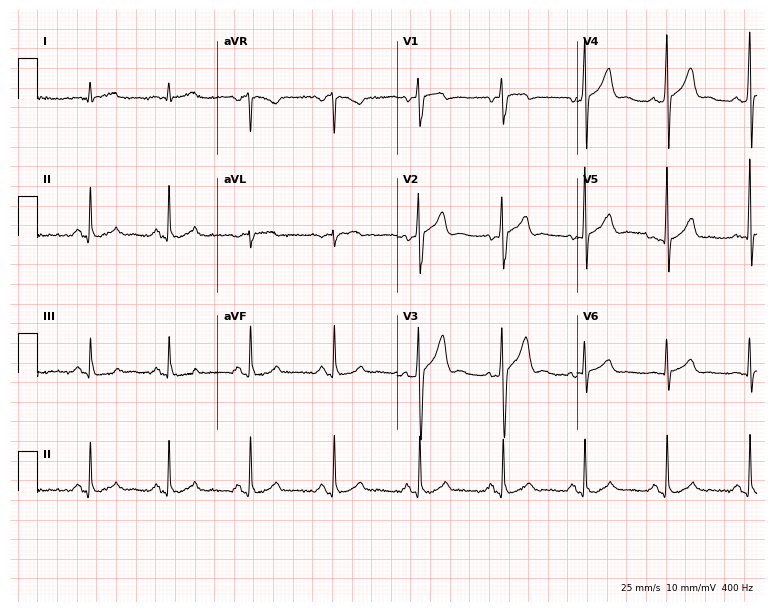
12-lead ECG (7.3-second recording at 400 Hz) from a 37-year-old male. Labelled as a normal ECG.